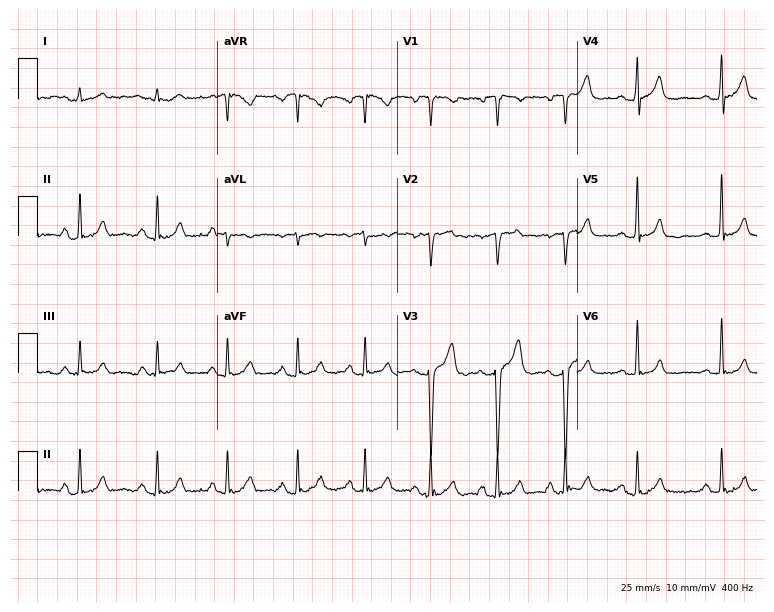
Electrocardiogram, a 78-year-old male. Of the six screened findings (first-degree AV block, right bundle branch block, left bundle branch block, sinus bradycardia, atrial fibrillation, sinus tachycardia), none is recorded. Only these six findings were labelled.